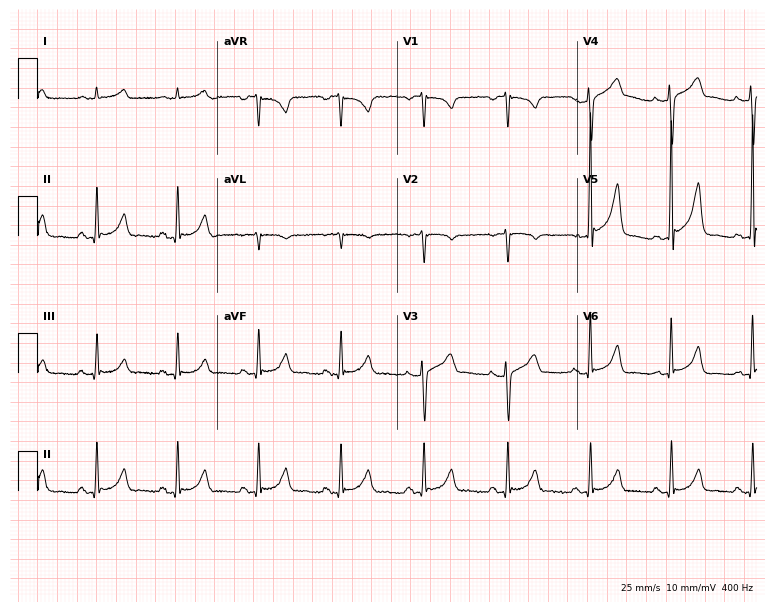
ECG — a 50-year-old male patient. Labelled as a normal ECG.